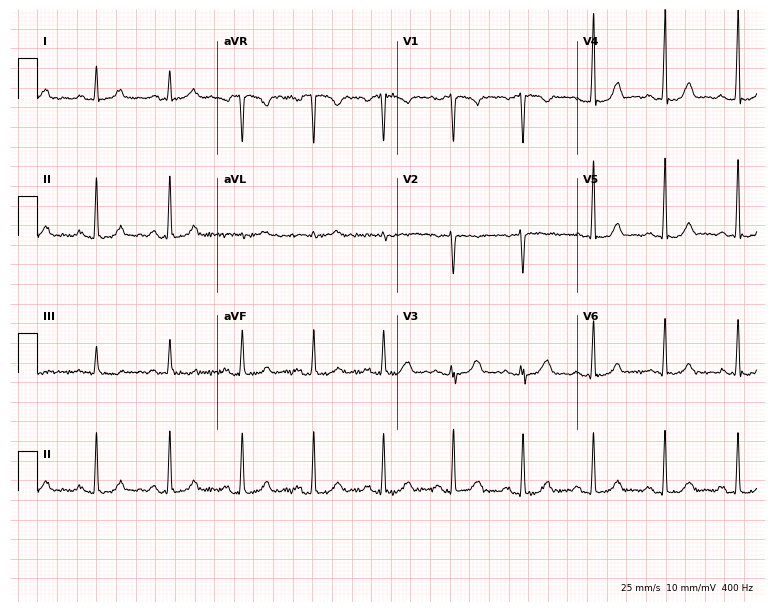
Electrocardiogram, a 37-year-old woman. Overall reading on record: normal ECG.